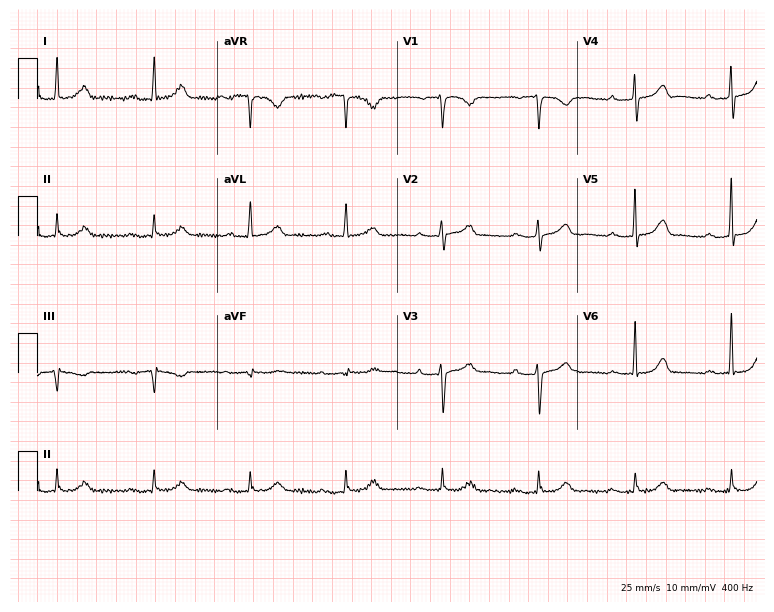
ECG — a female patient, 57 years old. Findings include first-degree AV block.